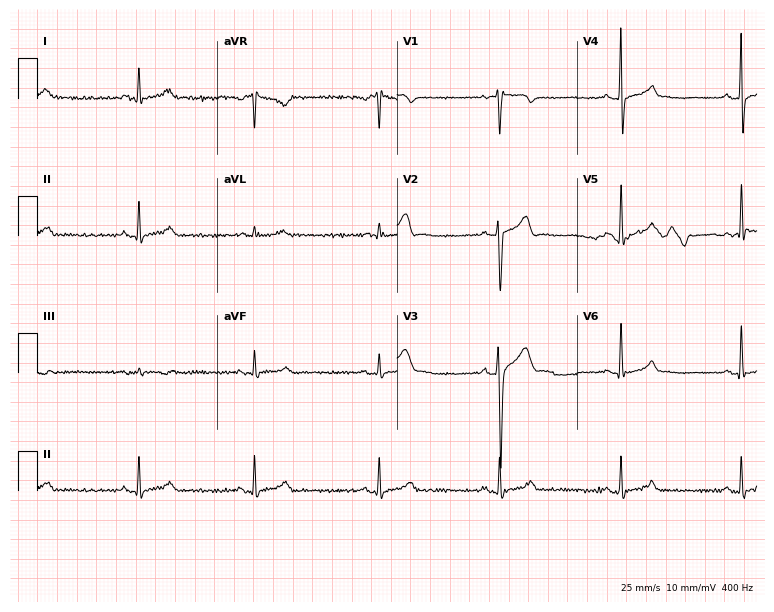
12-lead ECG from a male, 36 years old. Labelled as a normal ECG.